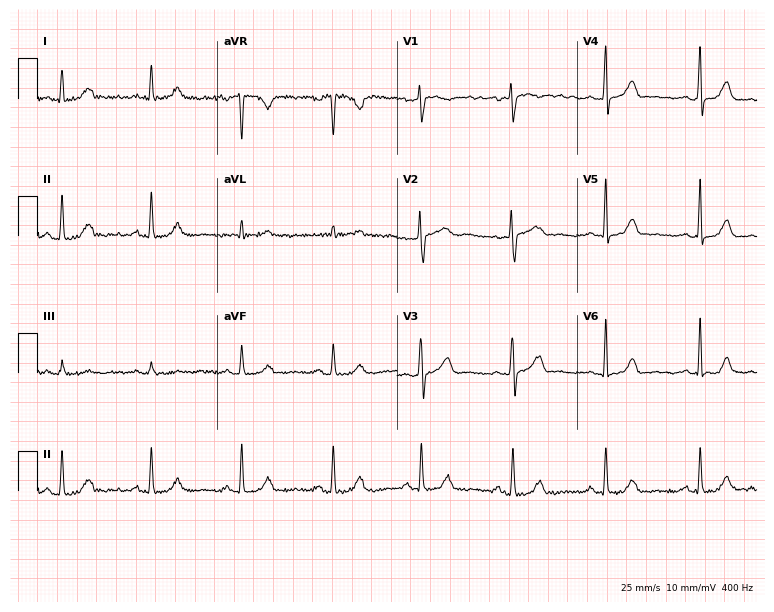
Resting 12-lead electrocardiogram (7.3-second recording at 400 Hz). Patient: a 49-year-old female. Read as a normal ECG.